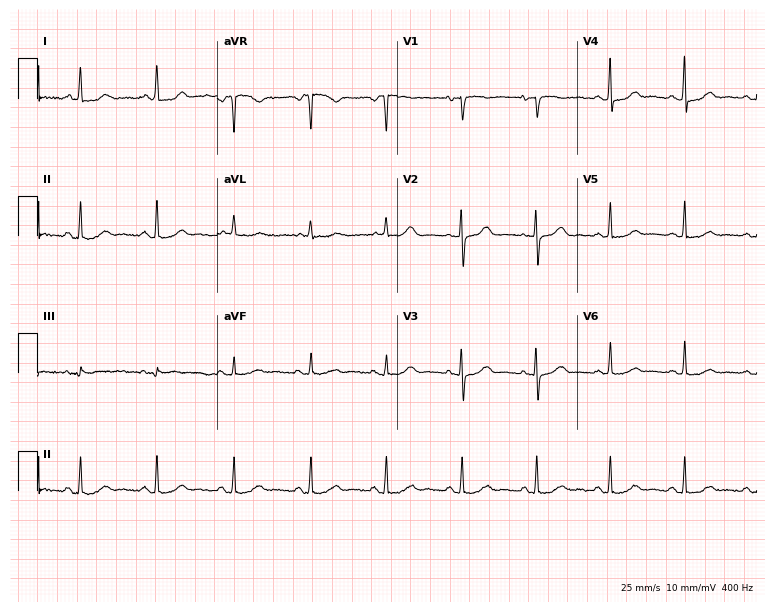
12-lead ECG from a woman, 63 years old. No first-degree AV block, right bundle branch block (RBBB), left bundle branch block (LBBB), sinus bradycardia, atrial fibrillation (AF) or sinus tachycardia recorded for this tracing.